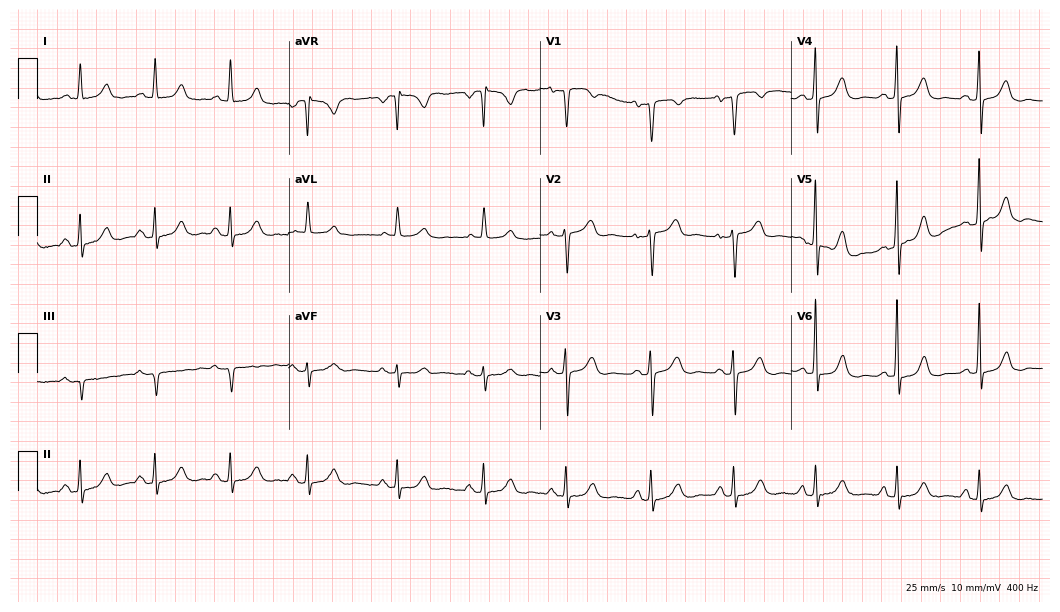
Electrocardiogram, a 68-year-old female patient. Overall reading on record: normal ECG.